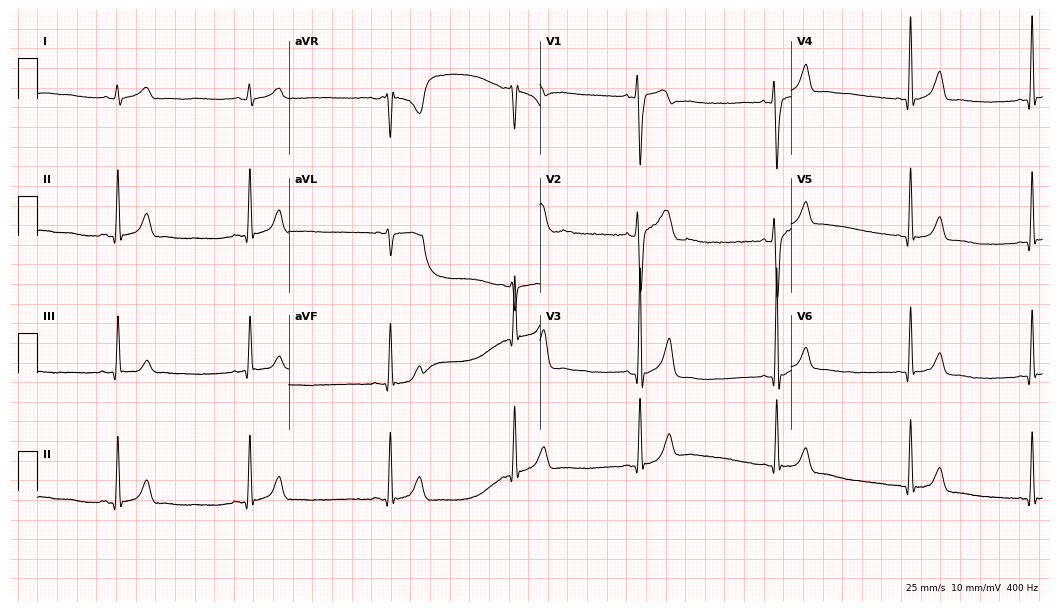
Standard 12-lead ECG recorded from a man, 19 years old. The tracing shows sinus bradycardia (a sinus rate of 50 beats per minute or less).